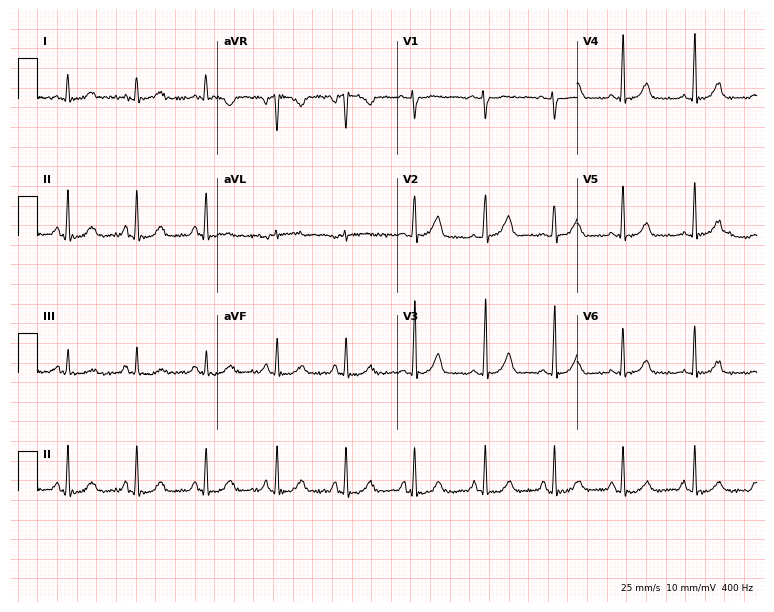
Standard 12-lead ECG recorded from a female patient, 37 years old (7.3-second recording at 400 Hz). None of these six findings is recorded: first-degree AV block, right bundle branch block, left bundle branch block, sinus bradycardia, atrial fibrillation, sinus tachycardia.